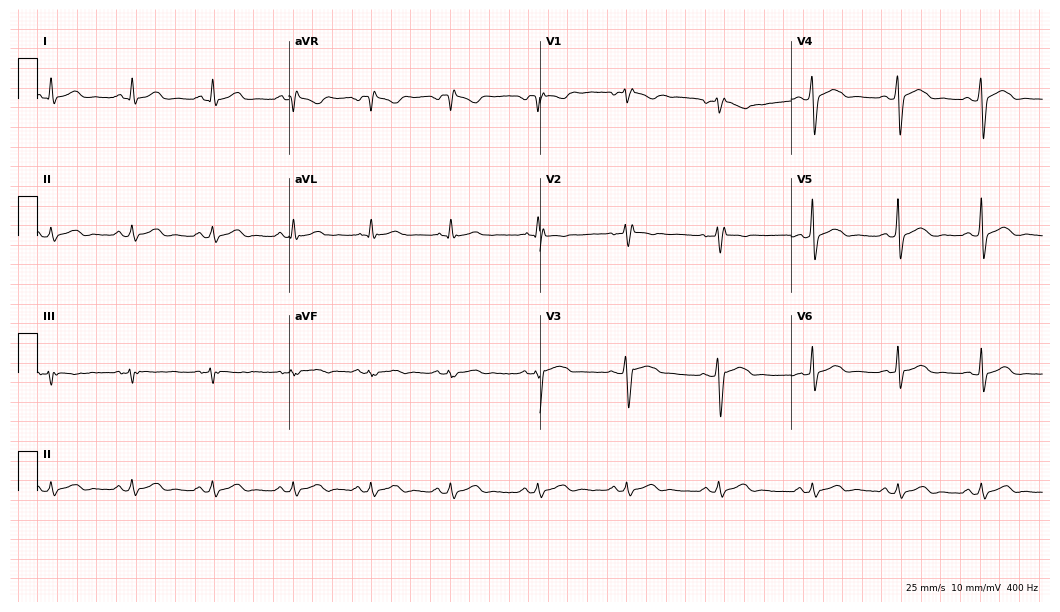
12-lead ECG from a 30-year-old male. Labelled as a normal ECG.